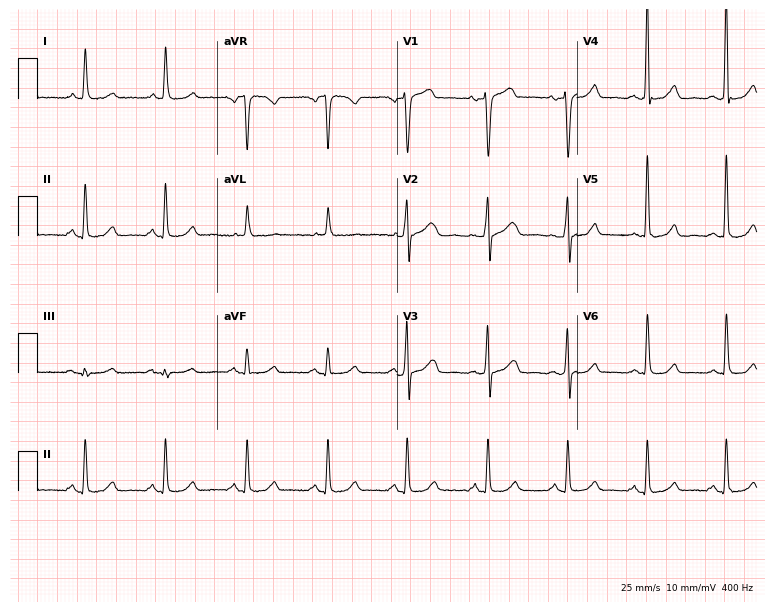
Electrocardiogram (7.3-second recording at 400 Hz), a female, 54 years old. Overall reading on record: normal ECG.